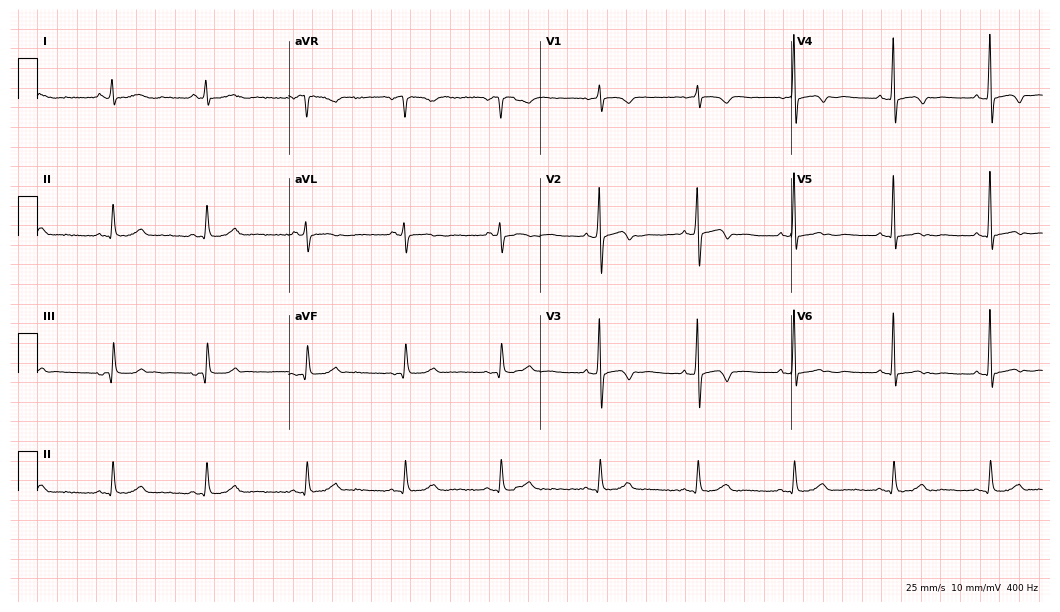
Standard 12-lead ECG recorded from a 63-year-old female patient (10.2-second recording at 400 Hz). None of these six findings is recorded: first-degree AV block, right bundle branch block, left bundle branch block, sinus bradycardia, atrial fibrillation, sinus tachycardia.